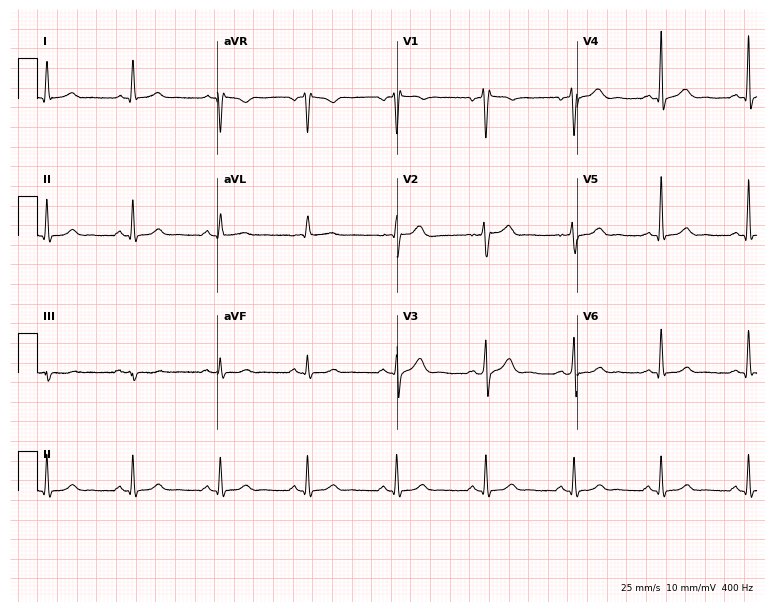
Standard 12-lead ECG recorded from a male, 38 years old (7.3-second recording at 400 Hz). Read as a normal ECG.